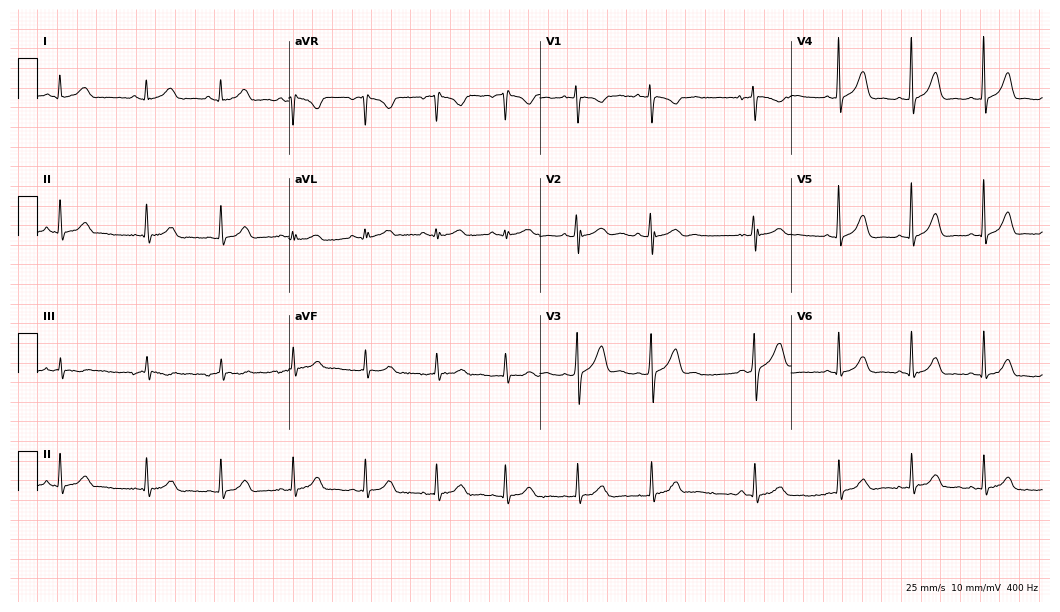
Electrocardiogram, a woman, 21 years old. Overall reading on record: normal ECG.